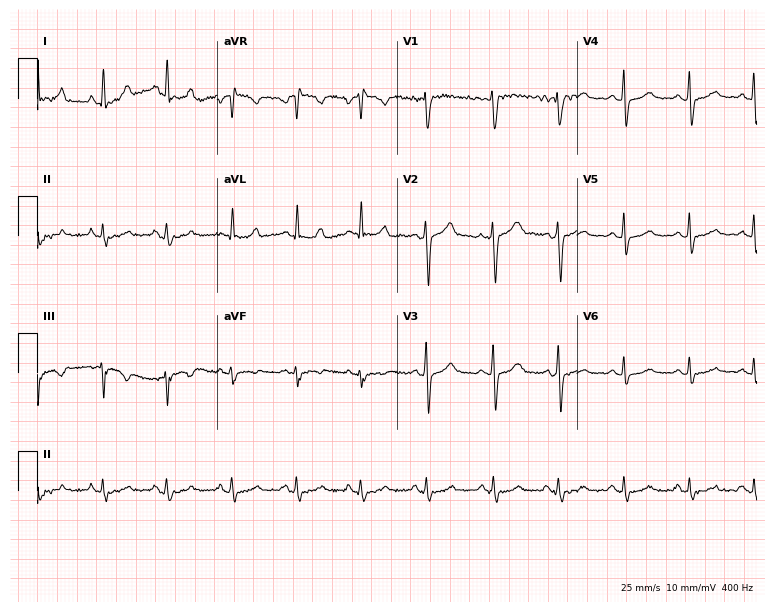
Electrocardiogram (7.3-second recording at 400 Hz), a 42-year-old woman. Of the six screened findings (first-degree AV block, right bundle branch block, left bundle branch block, sinus bradycardia, atrial fibrillation, sinus tachycardia), none is recorded.